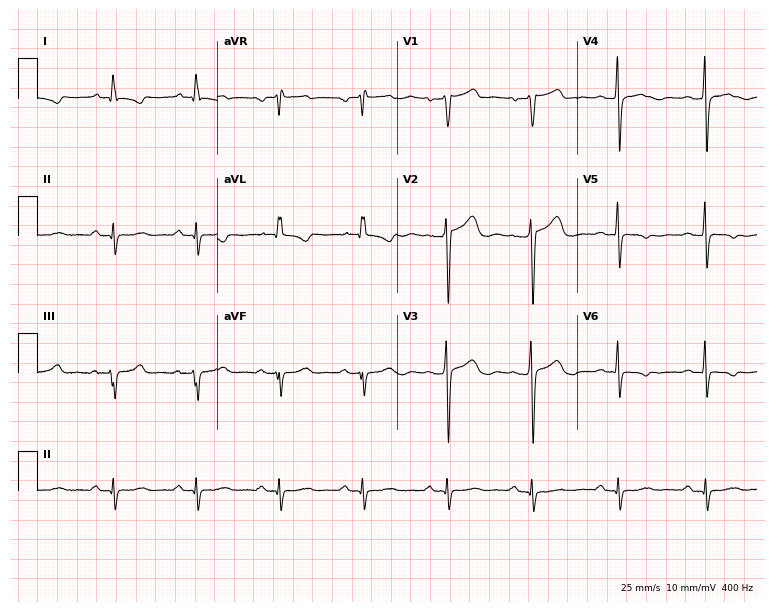
Electrocardiogram (7.3-second recording at 400 Hz), a female patient, 68 years old. Of the six screened findings (first-degree AV block, right bundle branch block (RBBB), left bundle branch block (LBBB), sinus bradycardia, atrial fibrillation (AF), sinus tachycardia), none is recorded. Findings outside these six are not listed.